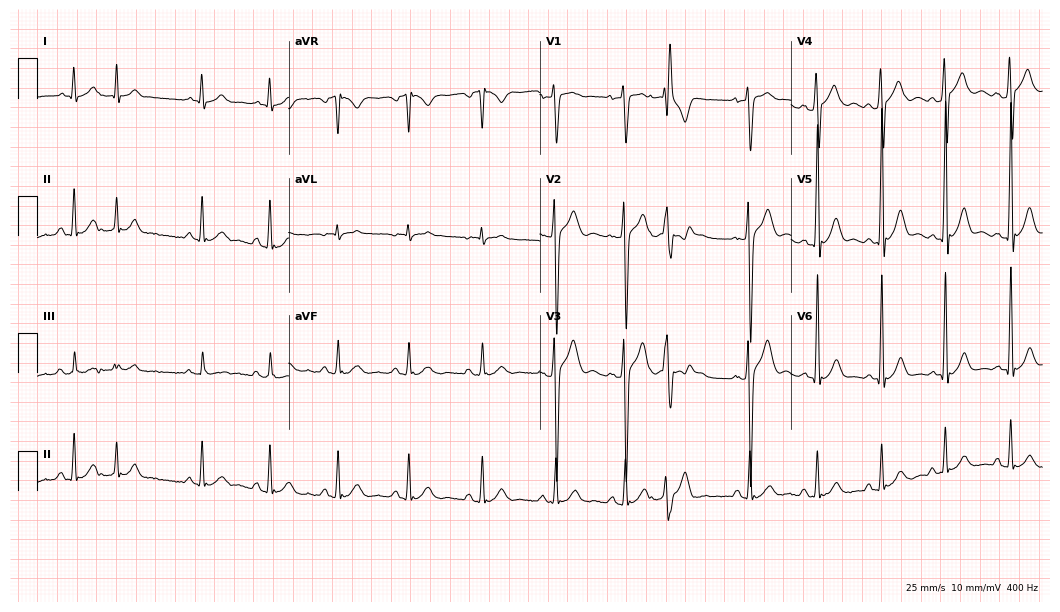
ECG (10.2-second recording at 400 Hz) — a 22-year-old man. Screened for six findings — first-degree AV block, right bundle branch block, left bundle branch block, sinus bradycardia, atrial fibrillation, sinus tachycardia — none is recorded. Only these six findings were labelled.